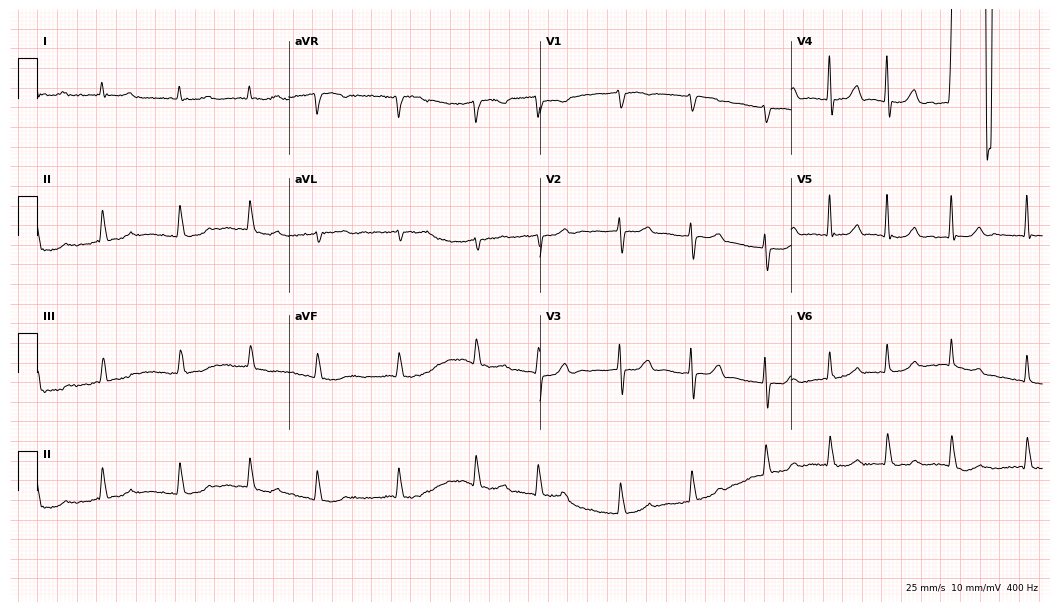
12-lead ECG from a female patient, 68 years old. No first-degree AV block, right bundle branch block (RBBB), left bundle branch block (LBBB), sinus bradycardia, atrial fibrillation (AF) or sinus tachycardia recorded for this tracing.